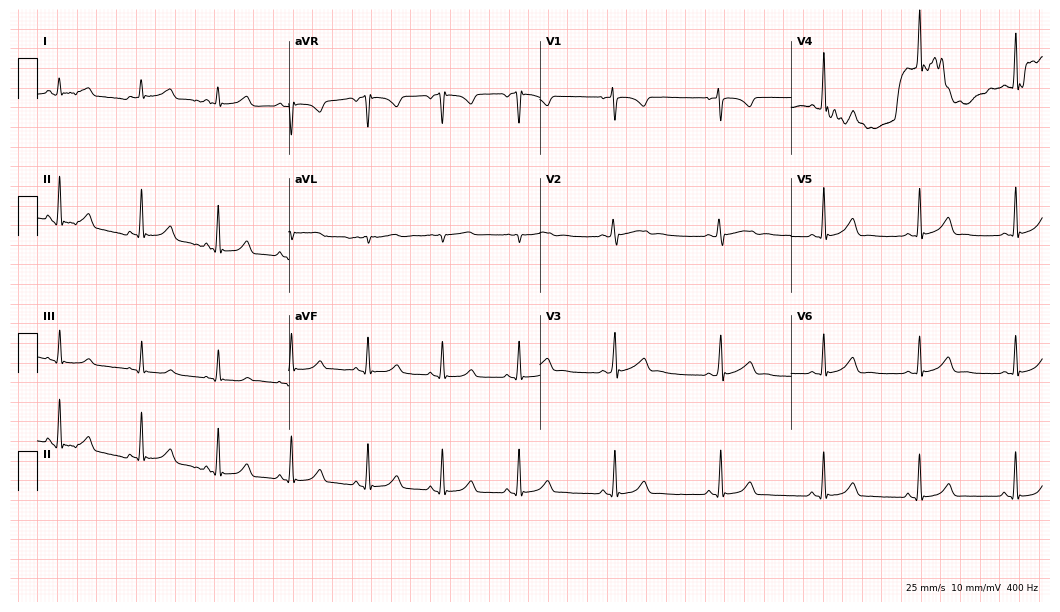
Electrocardiogram (10.2-second recording at 400 Hz), a woman, 19 years old. Overall reading on record: normal ECG.